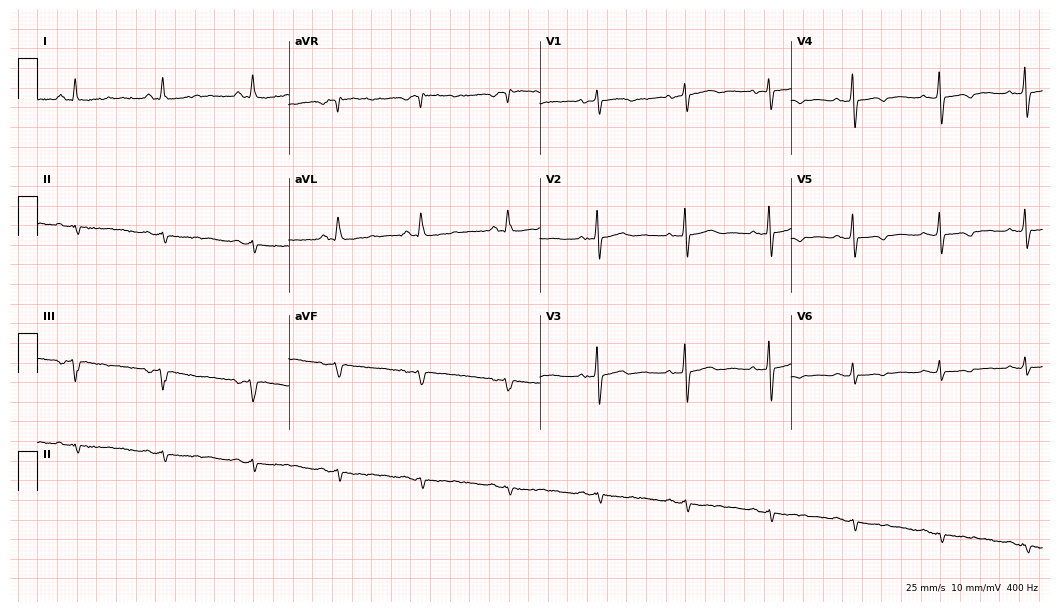
ECG — a 65-year-old woman. Screened for six findings — first-degree AV block, right bundle branch block (RBBB), left bundle branch block (LBBB), sinus bradycardia, atrial fibrillation (AF), sinus tachycardia — none is recorded.